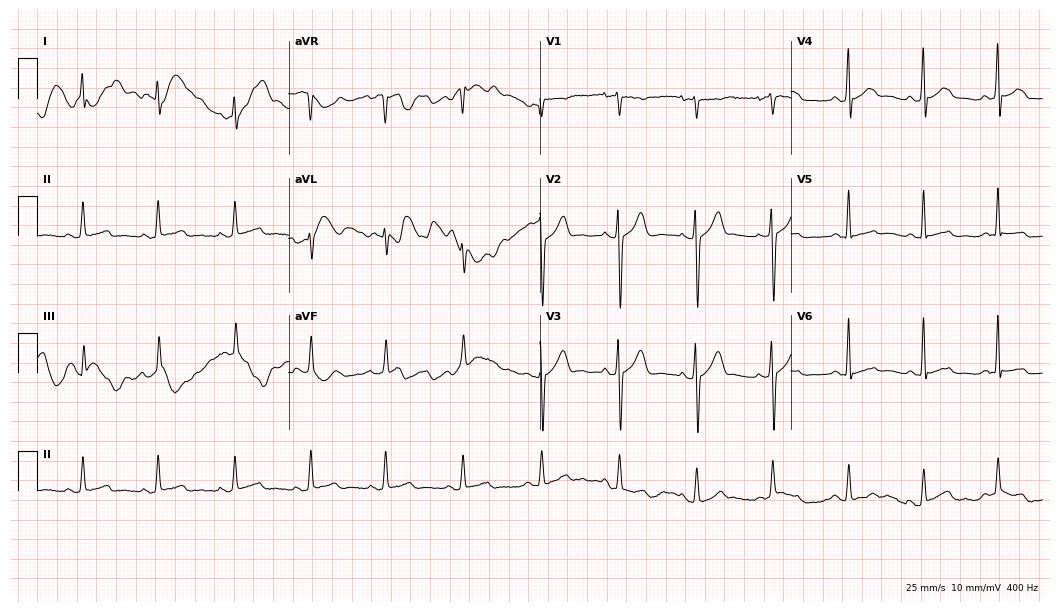
12-lead ECG from a 38-year-old male (10.2-second recording at 400 Hz). No first-degree AV block, right bundle branch block (RBBB), left bundle branch block (LBBB), sinus bradycardia, atrial fibrillation (AF) or sinus tachycardia recorded for this tracing. Only these six findings were labelled.